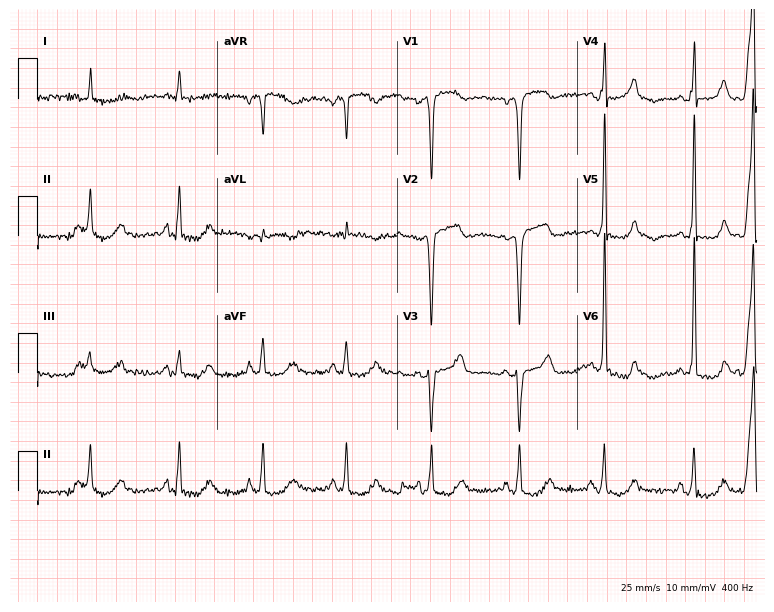
Resting 12-lead electrocardiogram (7.3-second recording at 400 Hz). Patient: an 82-year-old woman. None of these six findings is recorded: first-degree AV block, right bundle branch block, left bundle branch block, sinus bradycardia, atrial fibrillation, sinus tachycardia. Only these six findings were labelled.